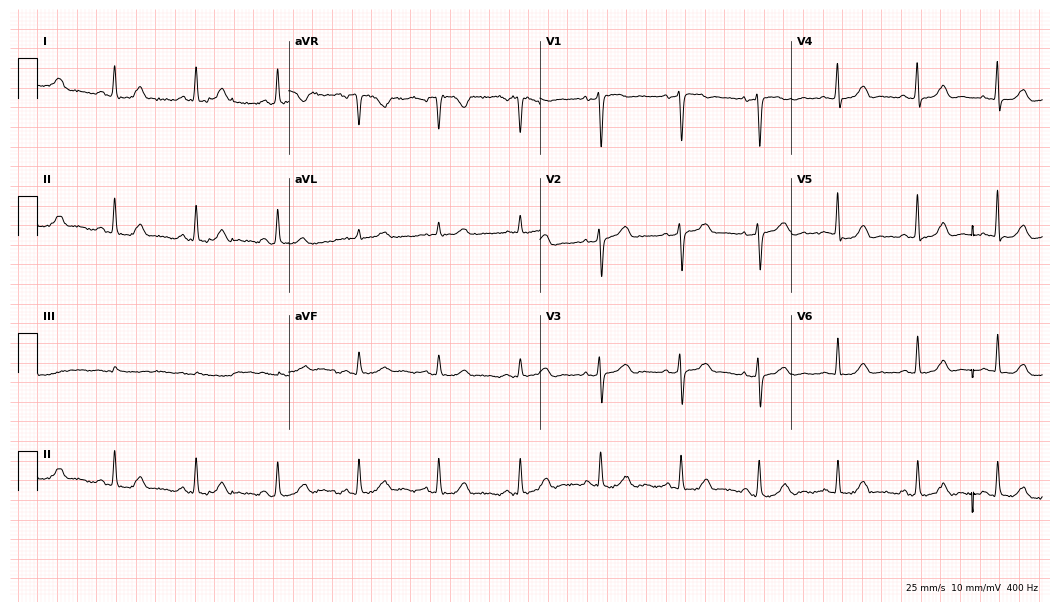
Standard 12-lead ECG recorded from a 73-year-old female patient (10.2-second recording at 400 Hz). Read as a normal ECG.